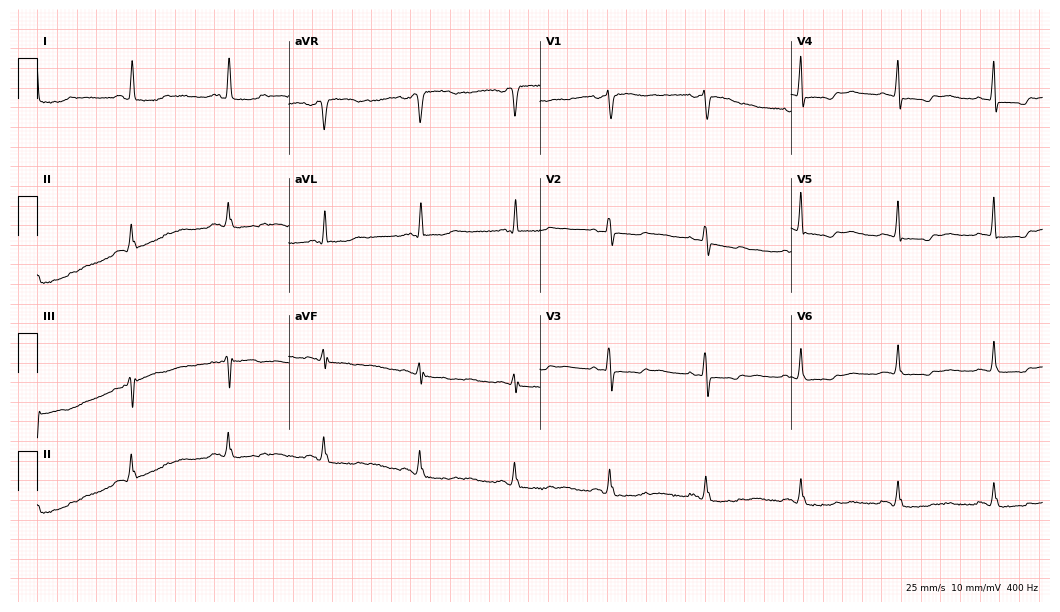
Standard 12-lead ECG recorded from a 60-year-old woman (10.2-second recording at 400 Hz). None of these six findings is recorded: first-degree AV block, right bundle branch block, left bundle branch block, sinus bradycardia, atrial fibrillation, sinus tachycardia. Only these six findings were labelled.